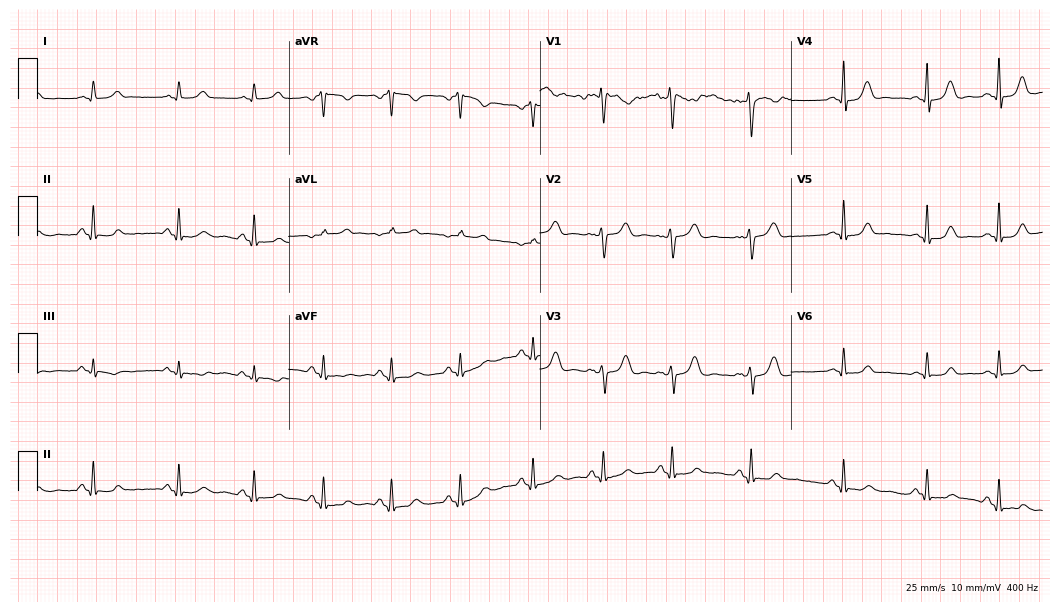
Standard 12-lead ECG recorded from a 29-year-old female patient. Read as a normal ECG.